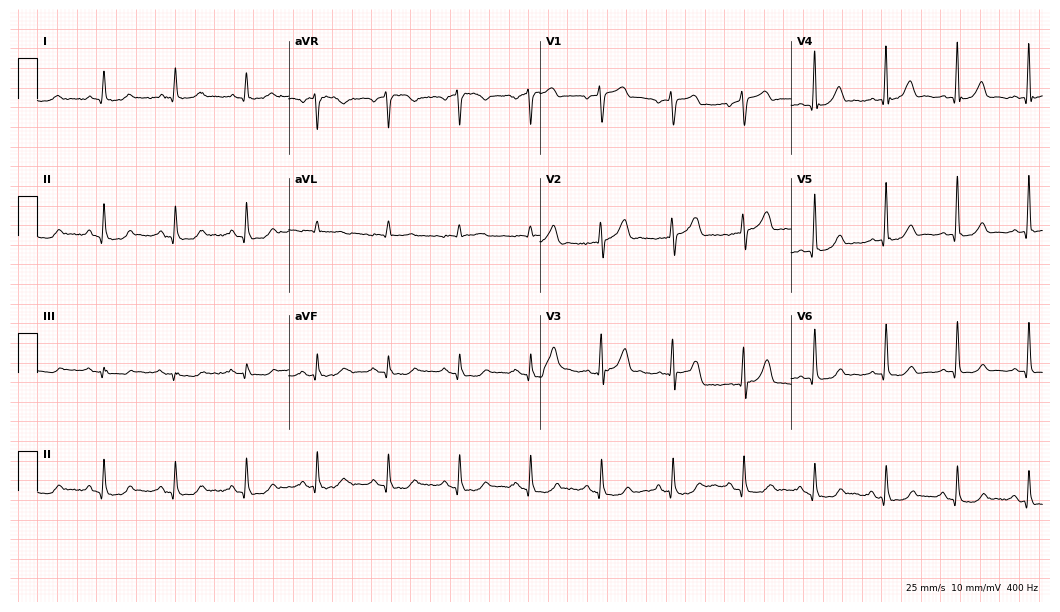
ECG (10.2-second recording at 400 Hz) — a male, 79 years old. Screened for six findings — first-degree AV block, right bundle branch block, left bundle branch block, sinus bradycardia, atrial fibrillation, sinus tachycardia — none is recorded.